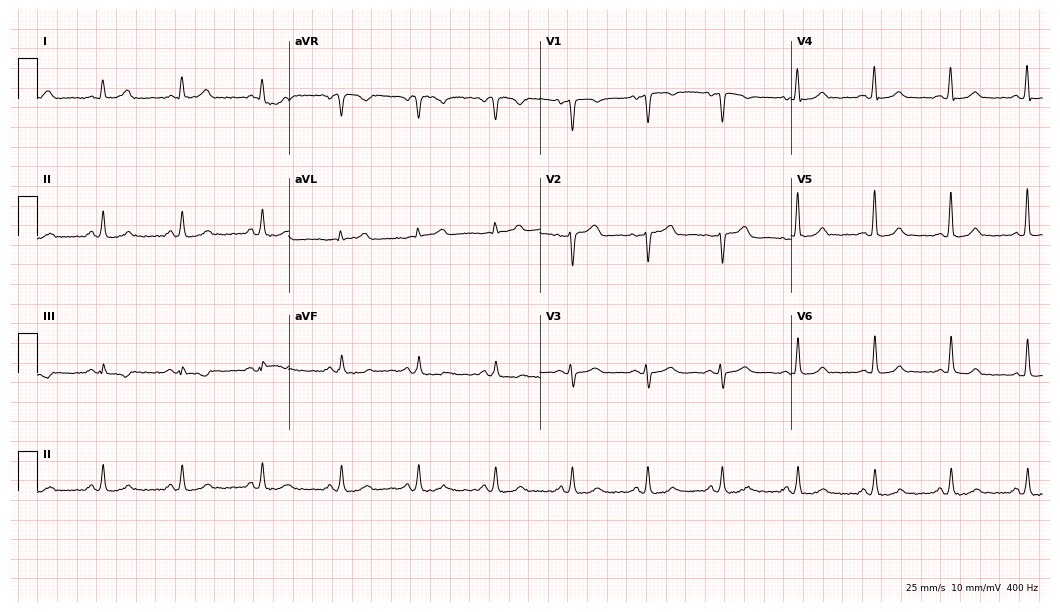
ECG (10.2-second recording at 400 Hz) — a 46-year-old woman. Labelled as a normal ECG.